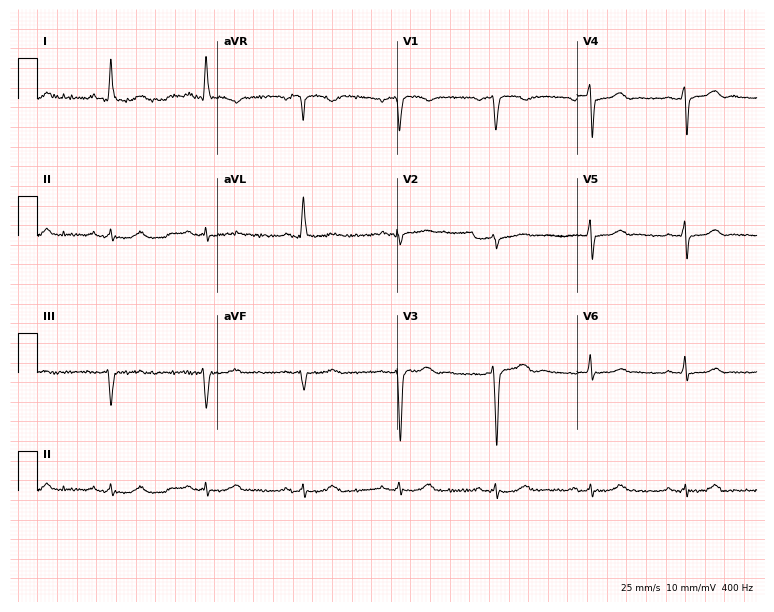
12-lead ECG from a 74-year-old male patient (7.3-second recording at 400 Hz). Recorded interpretation: within normal limits.